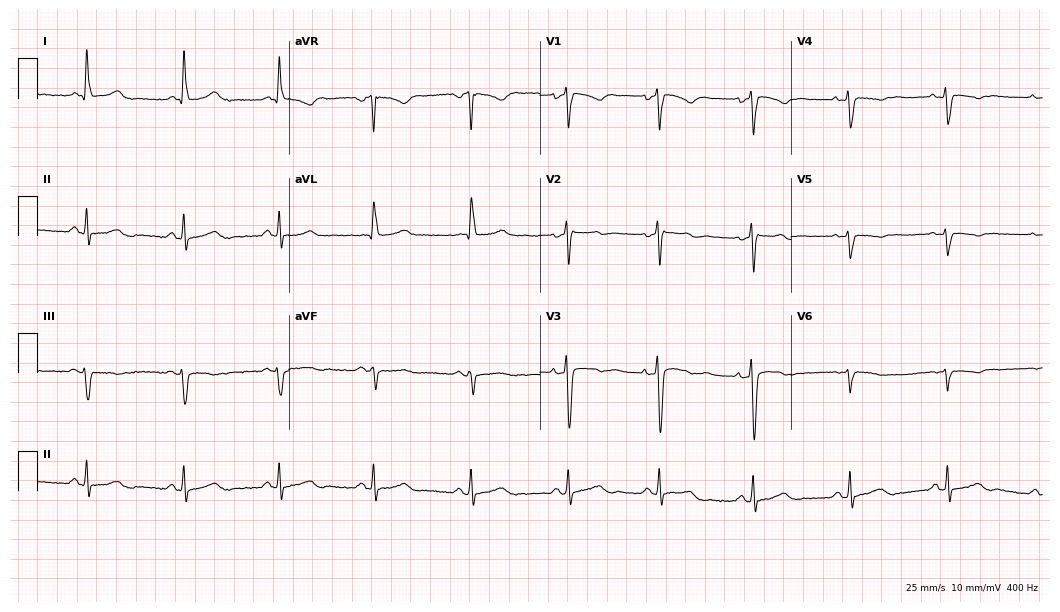
Standard 12-lead ECG recorded from a female patient, 40 years old. None of these six findings is recorded: first-degree AV block, right bundle branch block (RBBB), left bundle branch block (LBBB), sinus bradycardia, atrial fibrillation (AF), sinus tachycardia. Findings outside these six are not listed.